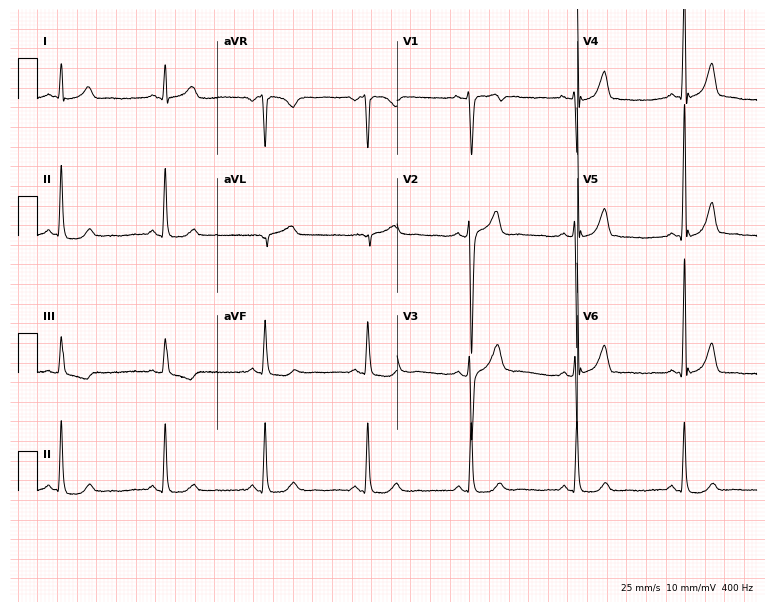
12-lead ECG from a man, 40 years old. No first-degree AV block, right bundle branch block, left bundle branch block, sinus bradycardia, atrial fibrillation or sinus tachycardia recorded for this tracing.